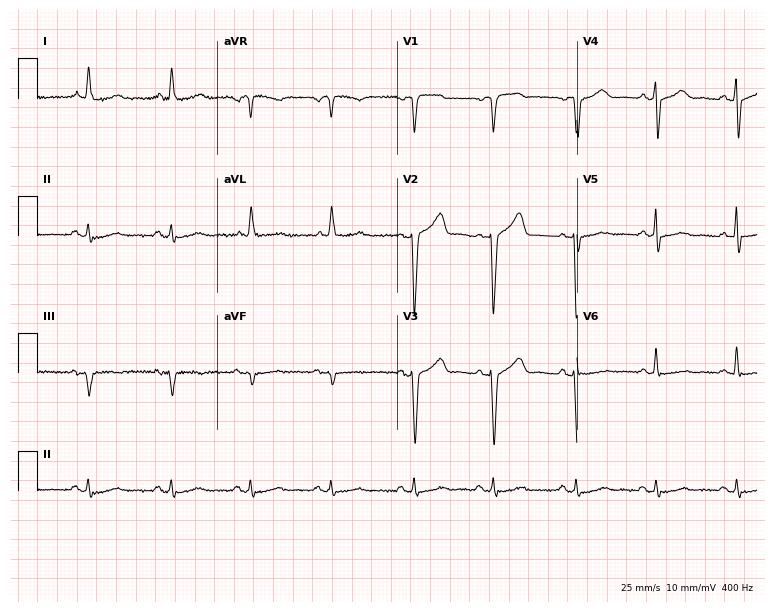
12-lead ECG from a male patient, 66 years old. No first-degree AV block, right bundle branch block, left bundle branch block, sinus bradycardia, atrial fibrillation or sinus tachycardia recorded for this tracing.